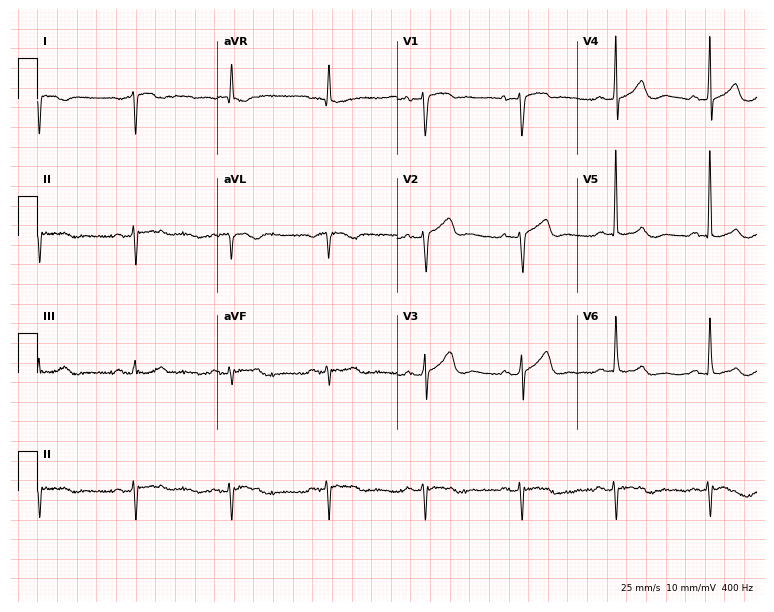
Standard 12-lead ECG recorded from an 84-year-old female. None of these six findings is recorded: first-degree AV block, right bundle branch block (RBBB), left bundle branch block (LBBB), sinus bradycardia, atrial fibrillation (AF), sinus tachycardia.